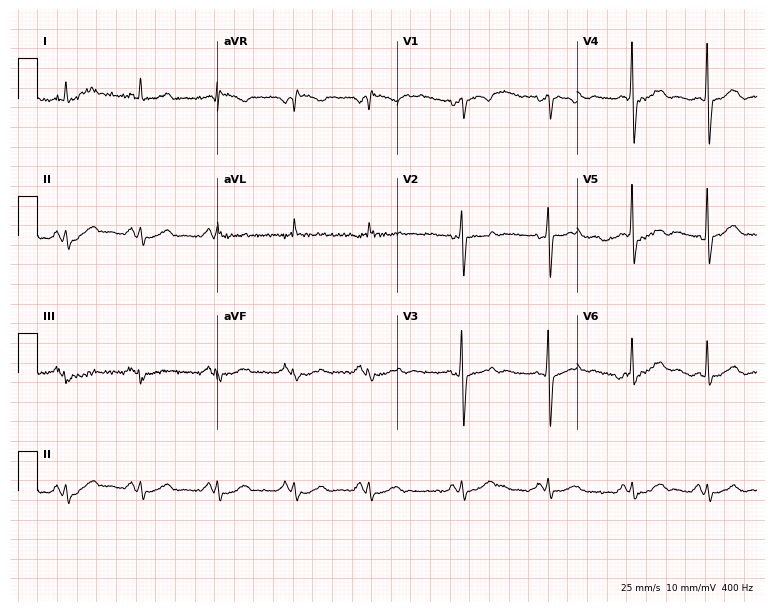
Resting 12-lead electrocardiogram. Patient: a 70-year-old man. None of these six findings is recorded: first-degree AV block, right bundle branch block, left bundle branch block, sinus bradycardia, atrial fibrillation, sinus tachycardia. Findings outside these six are not listed.